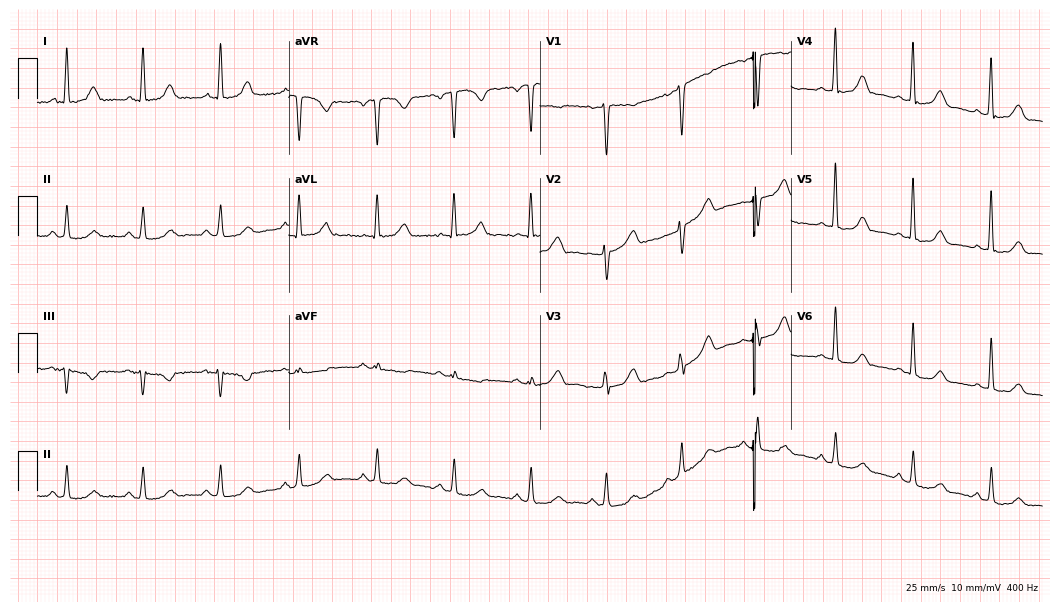
12-lead ECG from a 46-year-old female patient. No first-degree AV block, right bundle branch block, left bundle branch block, sinus bradycardia, atrial fibrillation or sinus tachycardia recorded for this tracing. Other findings, if any, are not listed.